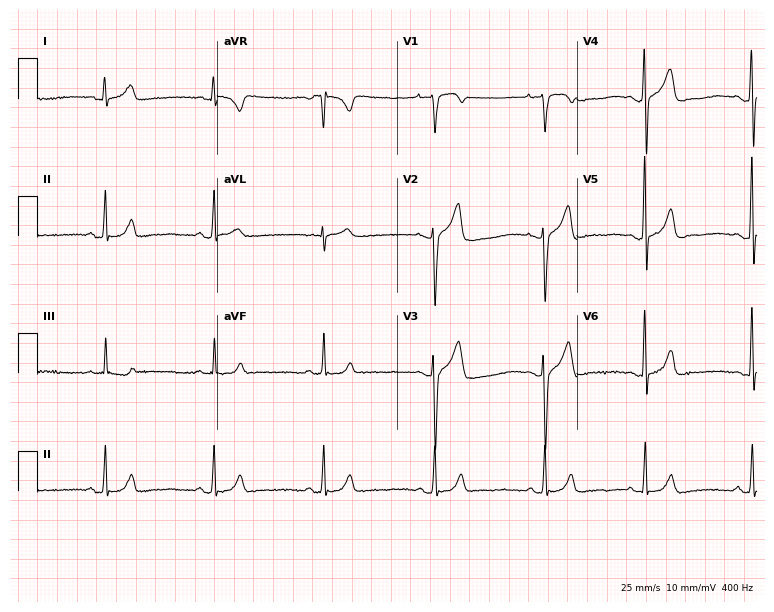
ECG (7.3-second recording at 400 Hz) — a 17-year-old man. Labelled as a normal ECG.